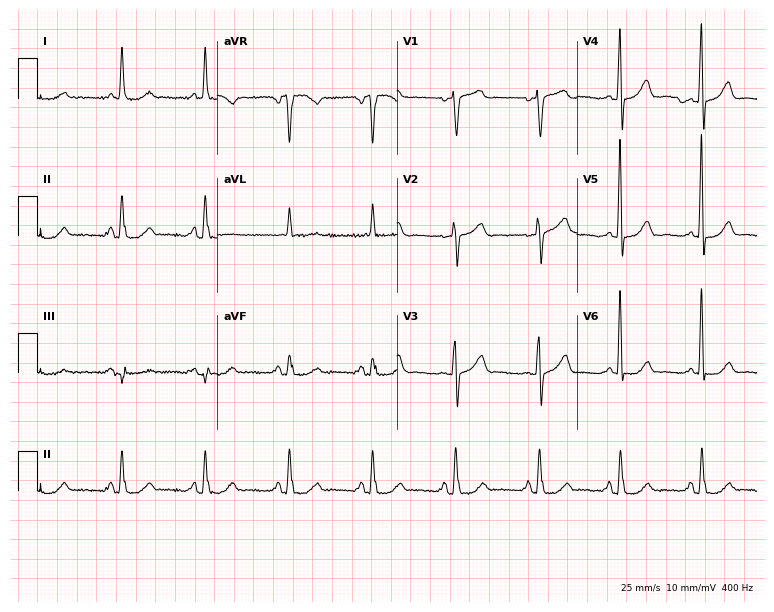
Electrocardiogram (7.3-second recording at 400 Hz), a 73-year-old female patient. Of the six screened findings (first-degree AV block, right bundle branch block, left bundle branch block, sinus bradycardia, atrial fibrillation, sinus tachycardia), none is recorded. Findings outside these six are not listed.